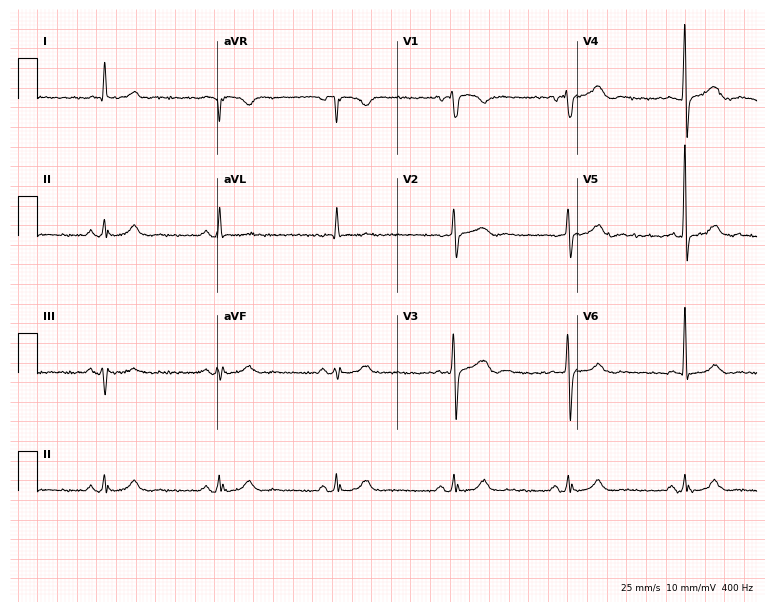
Resting 12-lead electrocardiogram (7.3-second recording at 400 Hz). Patient: a male, 62 years old. Read as a normal ECG.